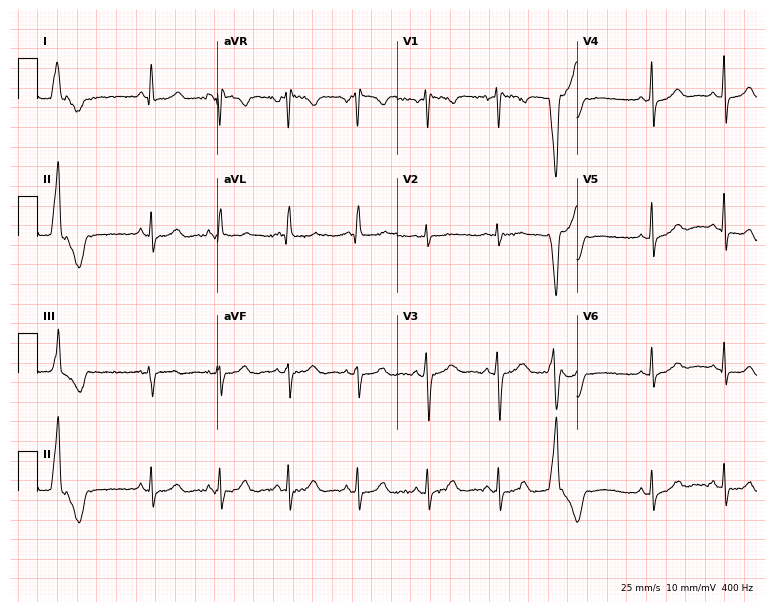
ECG (7.3-second recording at 400 Hz) — a woman, 41 years old. Labelled as a normal ECG.